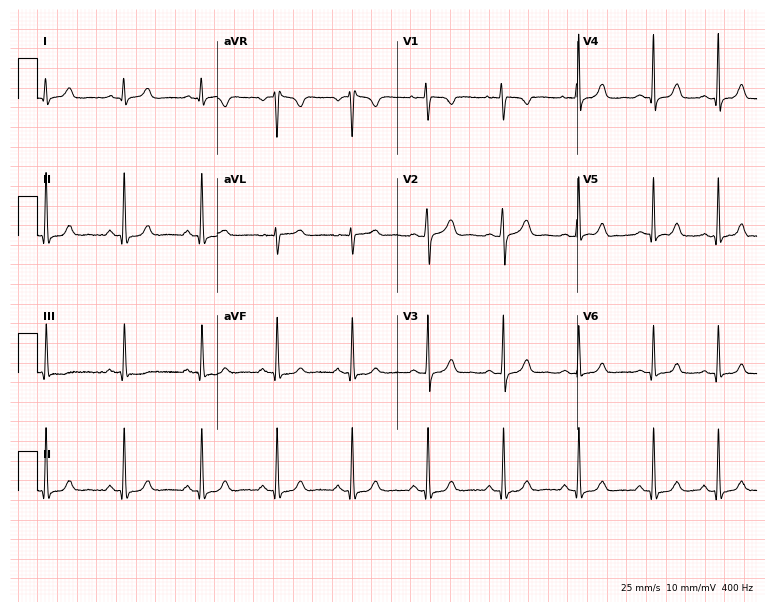
Resting 12-lead electrocardiogram (7.3-second recording at 400 Hz). Patient: a 25-year-old female. None of these six findings is recorded: first-degree AV block, right bundle branch block, left bundle branch block, sinus bradycardia, atrial fibrillation, sinus tachycardia. Other findings, if any, are not listed.